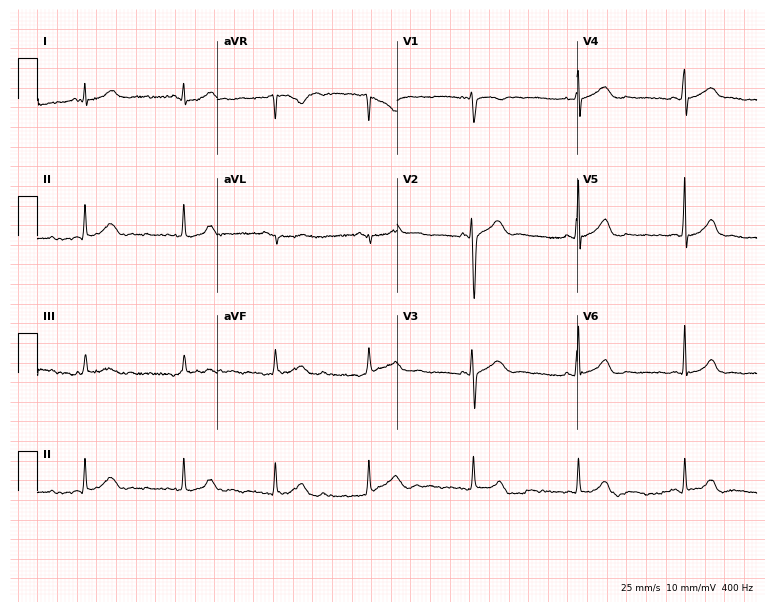
Standard 12-lead ECG recorded from a 21-year-old woman (7.3-second recording at 400 Hz). None of these six findings is recorded: first-degree AV block, right bundle branch block, left bundle branch block, sinus bradycardia, atrial fibrillation, sinus tachycardia.